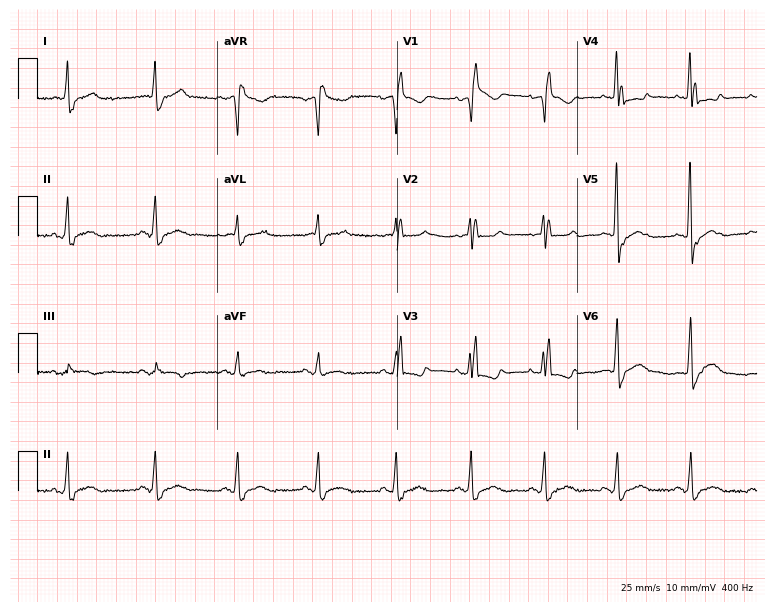
Standard 12-lead ECG recorded from a 74-year-old female (7.3-second recording at 400 Hz). None of these six findings is recorded: first-degree AV block, right bundle branch block, left bundle branch block, sinus bradycardia, atrial fibrillation, sinus tachycardia. Other findings, if any, are not listed.